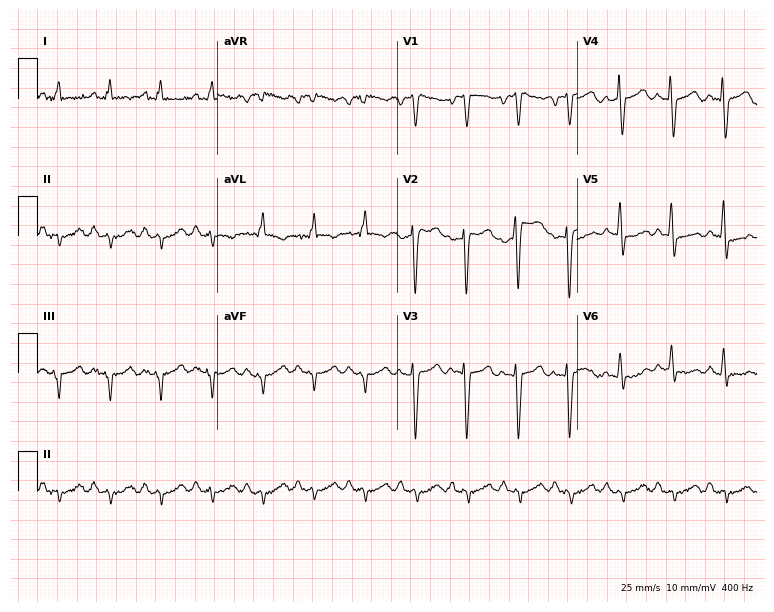
12-lead ECG from a 42-year-old male (7.3-second recording at 400 Hz). Shows sinus tachycardia (a sinus rate of 100 beats per minute or more).